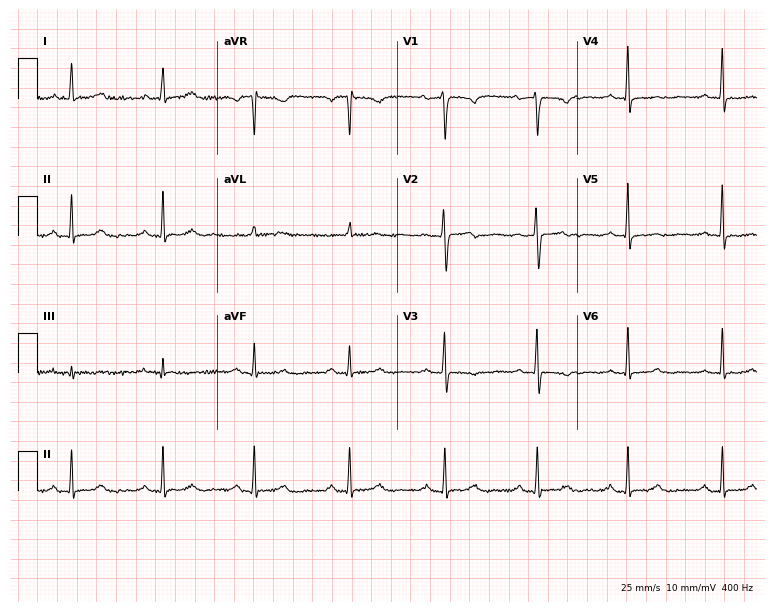
Standard 12-lead ECG recorded from a female, 42 years old (7.3-second recording at 400 Hz). The tracing shows first-degree AV block.